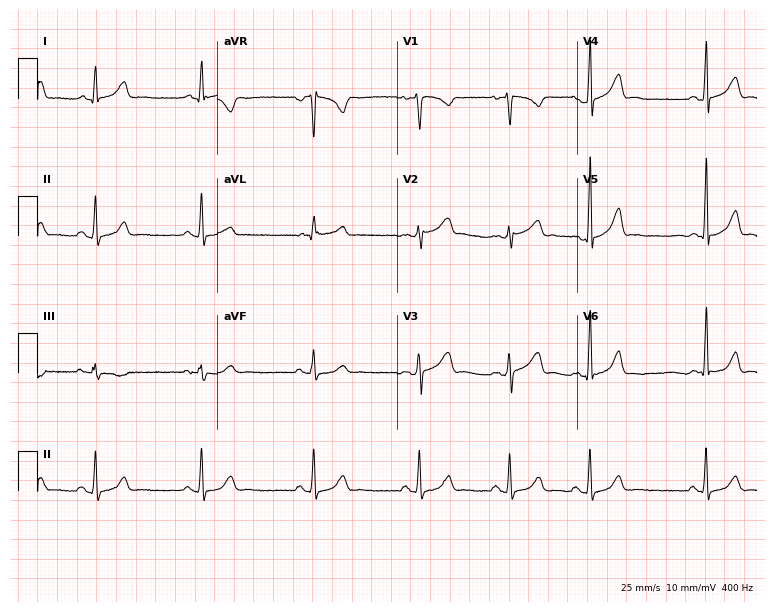
Standard 12-lead ECG recorded from a female patient, 24 years old (7.3-second recording at 400 Hz). Read as a normal ECG.